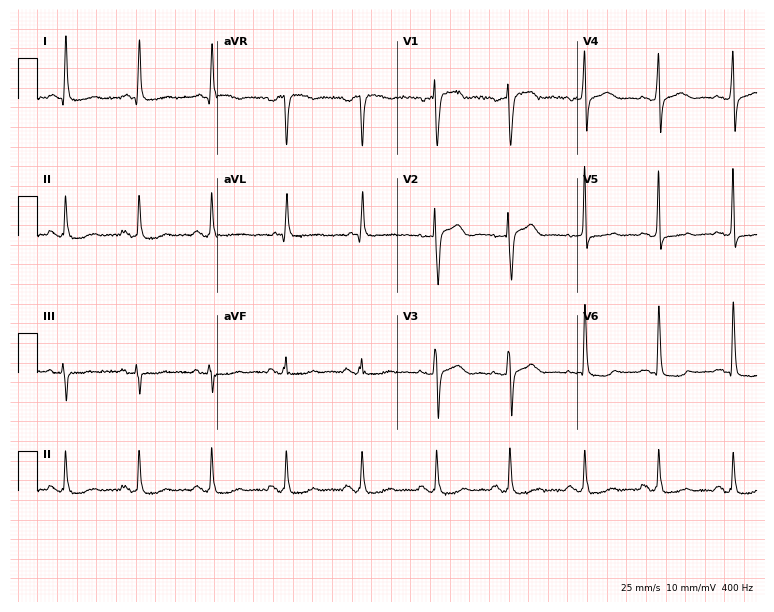
12-lead ECG from a male, 78 years old (7.3-second recording at 400 Hz). Recorded interpretation: within normal limits.